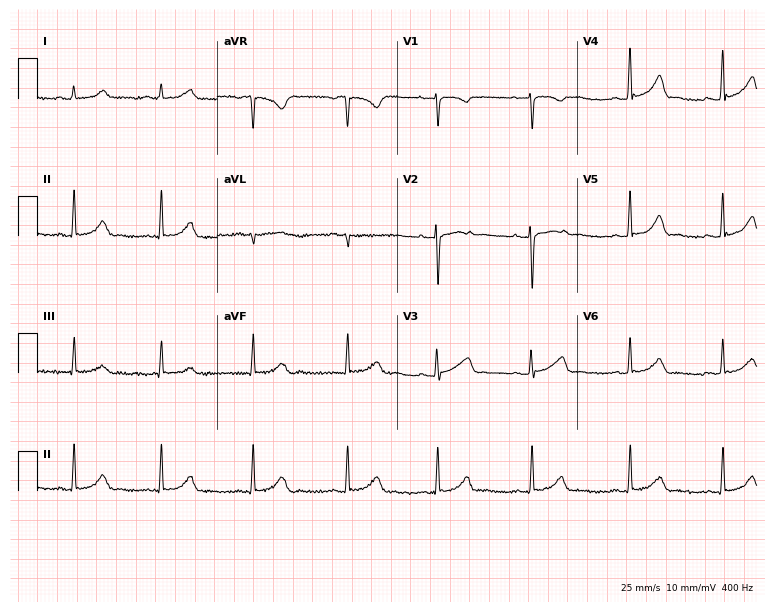
Resting 12-lead electrocardiogram. Patient: a 30-year-old female. Read as a normal ECG.